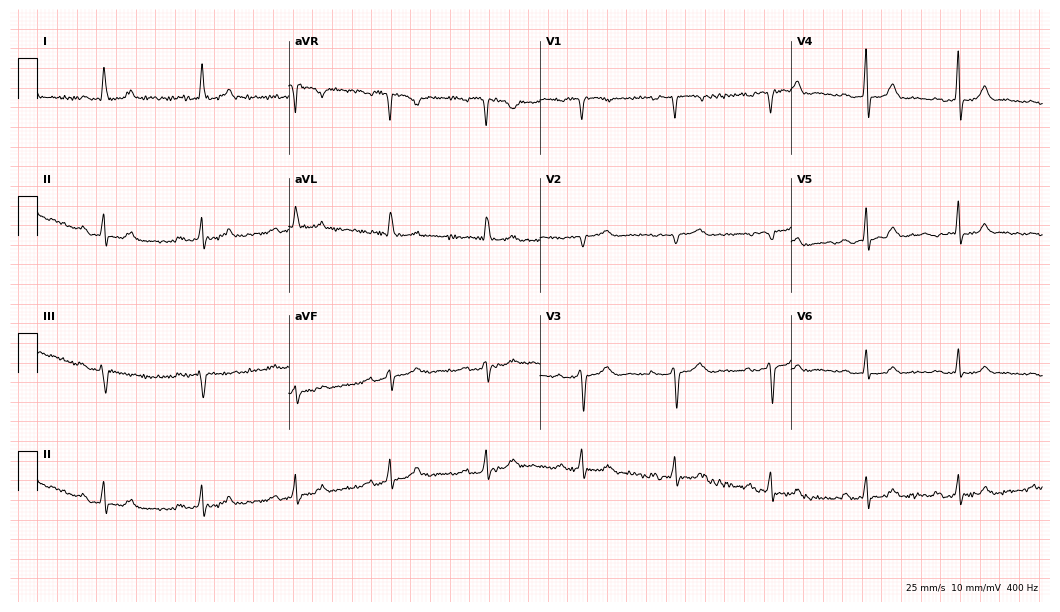
Standard 12-lead ECG recorded from a 69-year-old woman (10.2-second recording at 400 Hz). None of these six findings is recorded: first-degree AV block, right bundle branch block (RBBB), left bundle branch block (LBBB), sinus bradycardia, atrial fibrillation (AF), sinus tachycardia. Findings outside these six are not listed.